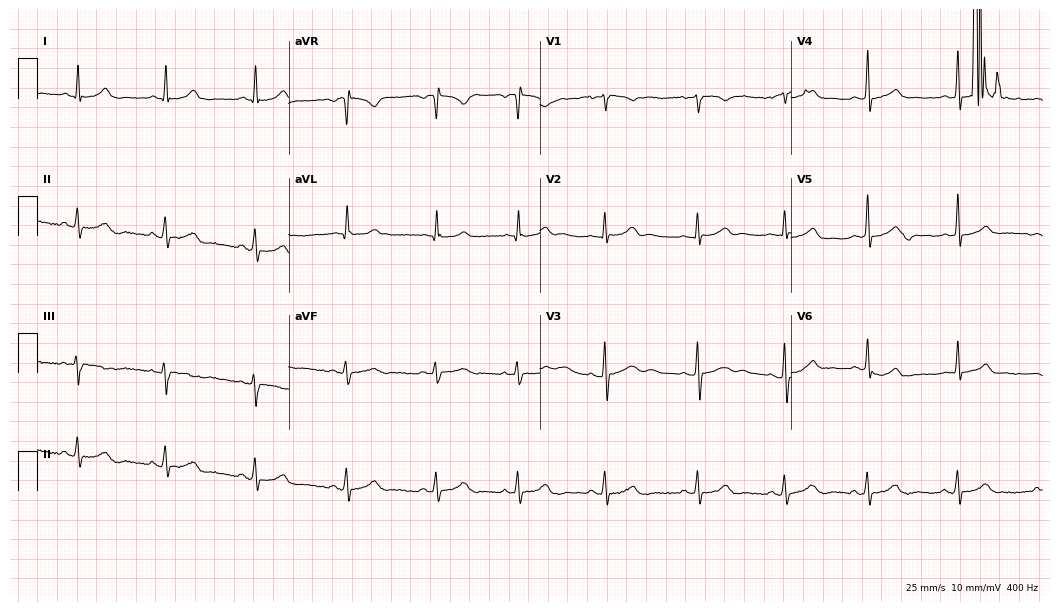
ECG — a 26-year-old female patient. Labelled as a normal ECG.